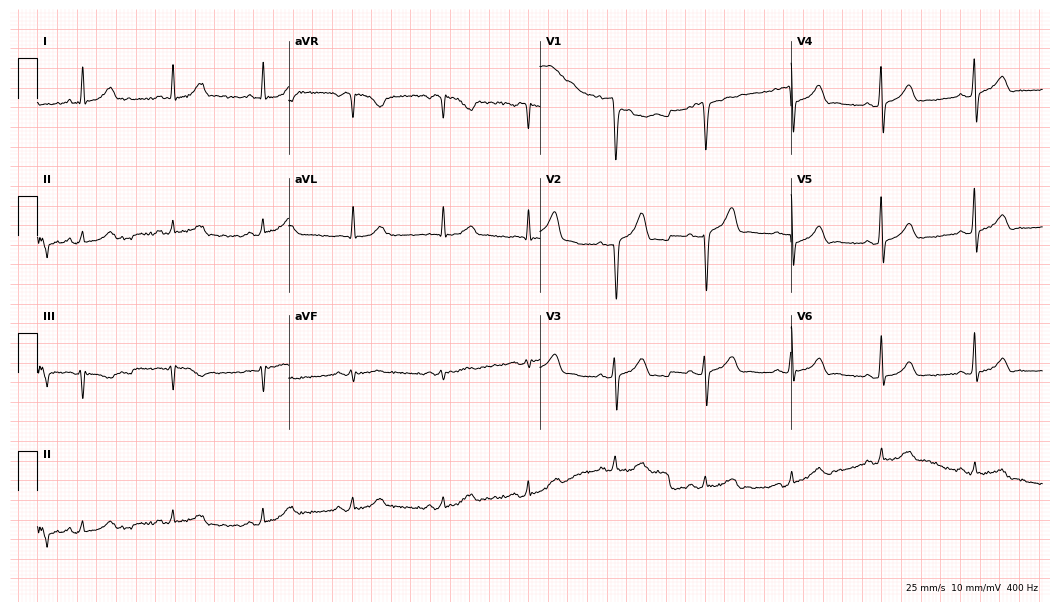
Resting 12-lead electrocardiogram (10.2-second recording at 400 Hz). Patient: a 42-year-old male. Read as a normal ECG.